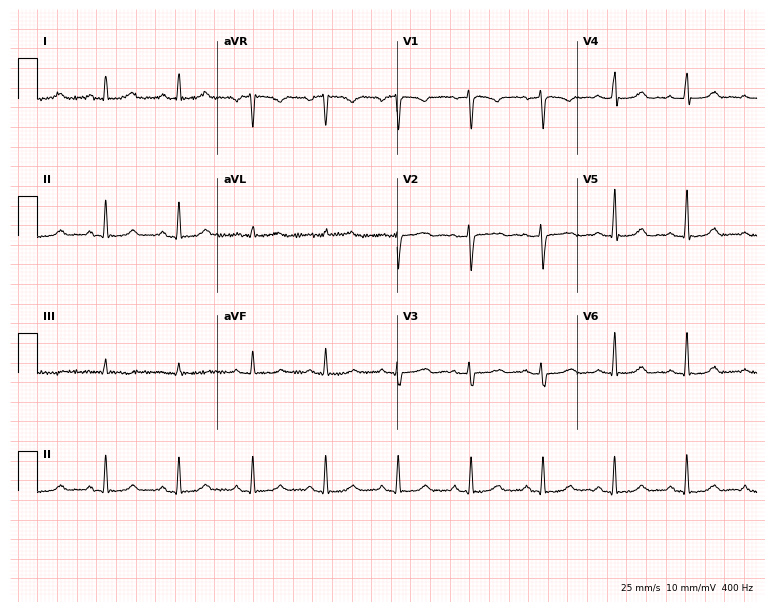
Electrocardiogram (7.3-second recording at 400 Hz), a female patient, 41 years old. Of the six screened findings (first-degree AV block, right bundle branch block, left bundle branch block, sinus bradycardia, atrial fibrillation, sinus tachycardia), none is recorded. Other findings, if any, are not listed.